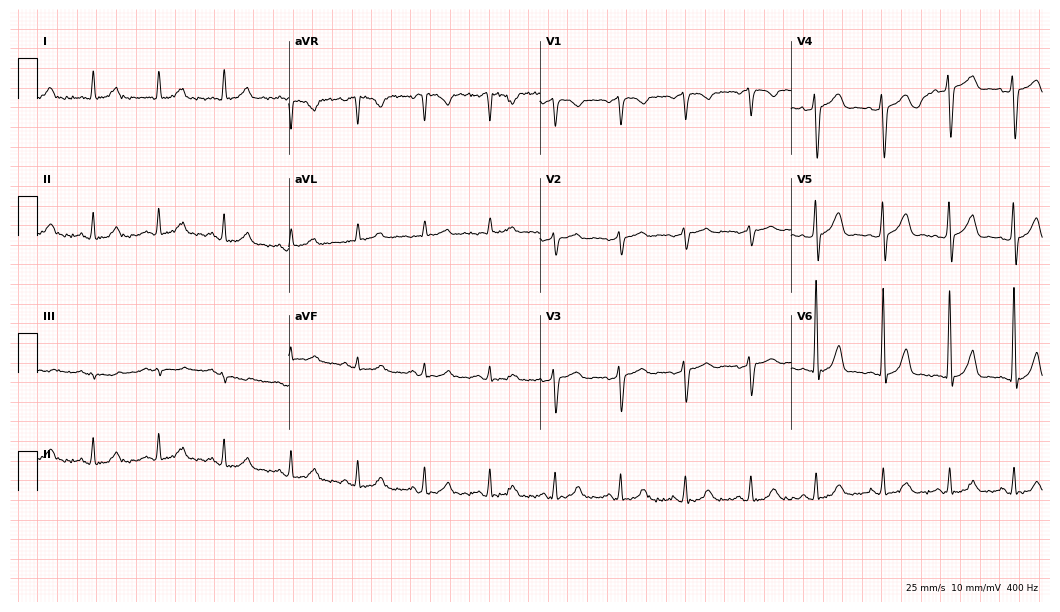
Electrocardiogram, a man, 50 years old. Overall reading on record: normal ECG.